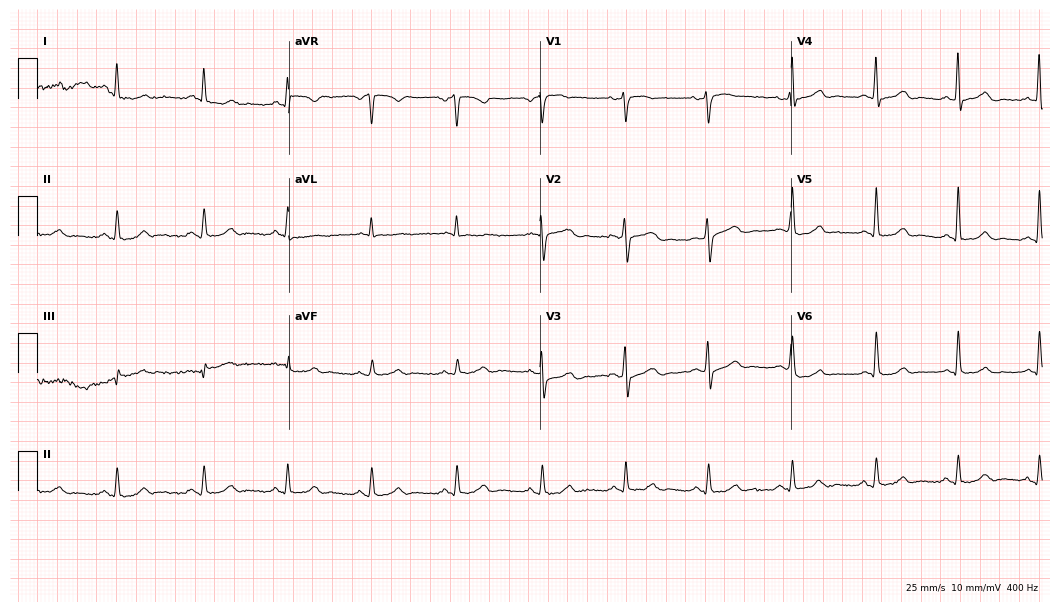
Resting 12-lead electrocardiogram. Patient: a 52-year-old man. Read as a normal ECG.